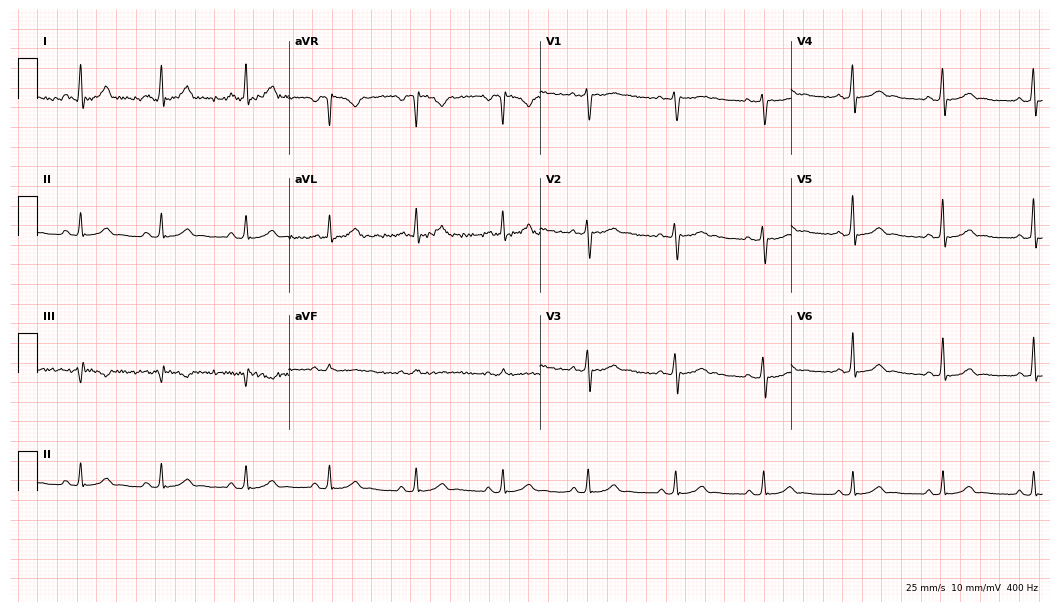
12-lead ECG from a 25-year-old male (10.2-second recording at 400 Hz). No first-degree AV block, right bundle branch block, left bundle branch block, sinus bradycardia, atrial fibrillation or sinus tachycardia recorded for this tracing.